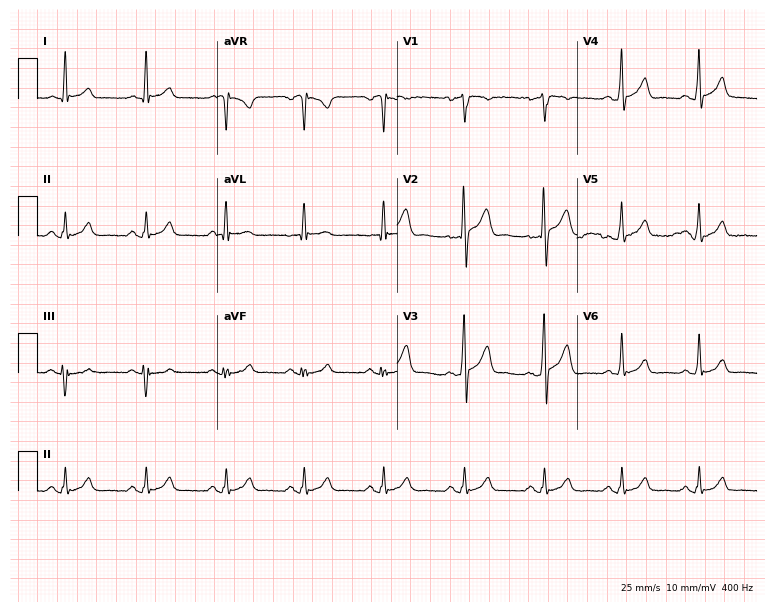
ECG — a male patient, 33 years old. Labelled as a normal ECG.